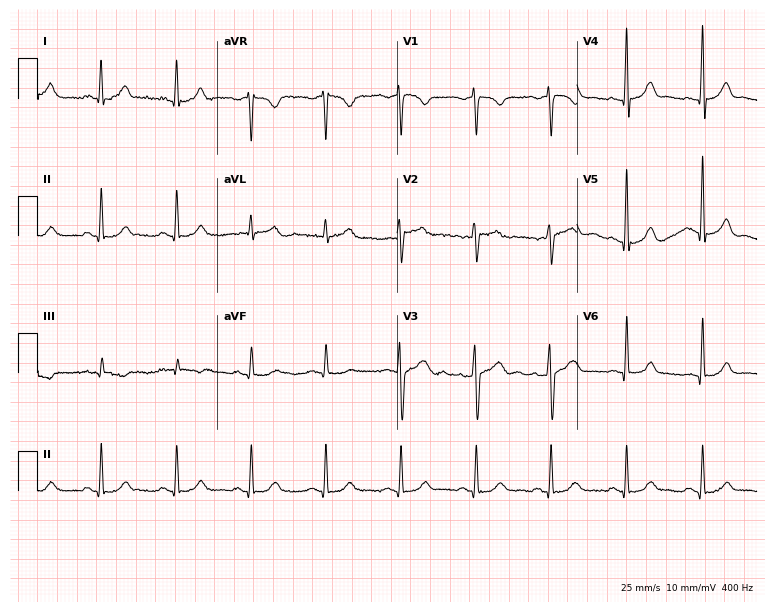
12-lead ECG from a 52-year-old male (7.3-second recording at 400 Hz). Recorded interpretation: within normal limits.